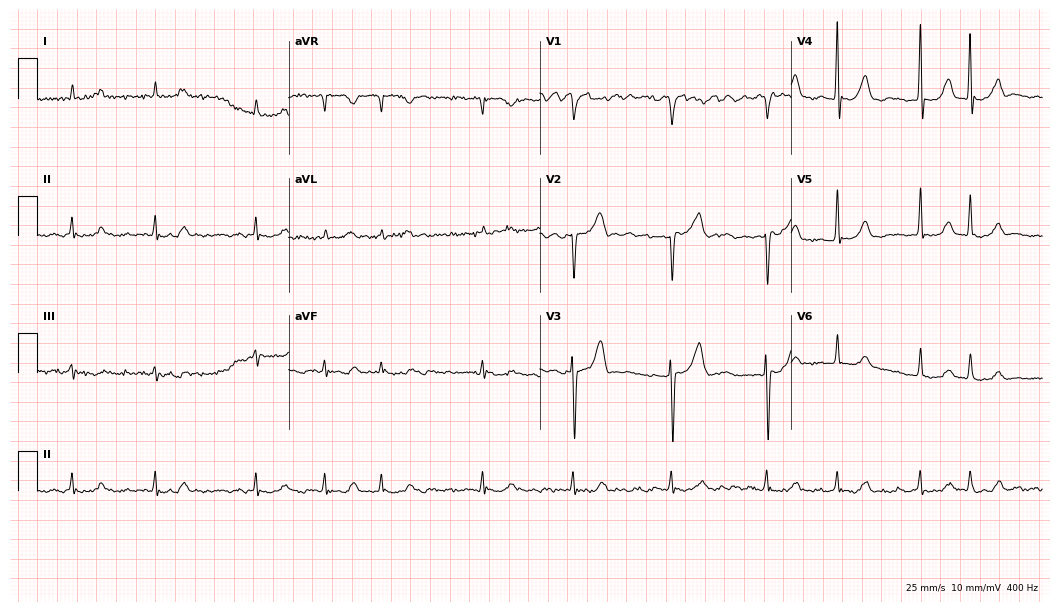
Electrocardiogram (10.2-second recording at 400 Hz), a 78-year-old female. Interpretation includes atrial fibrillation.